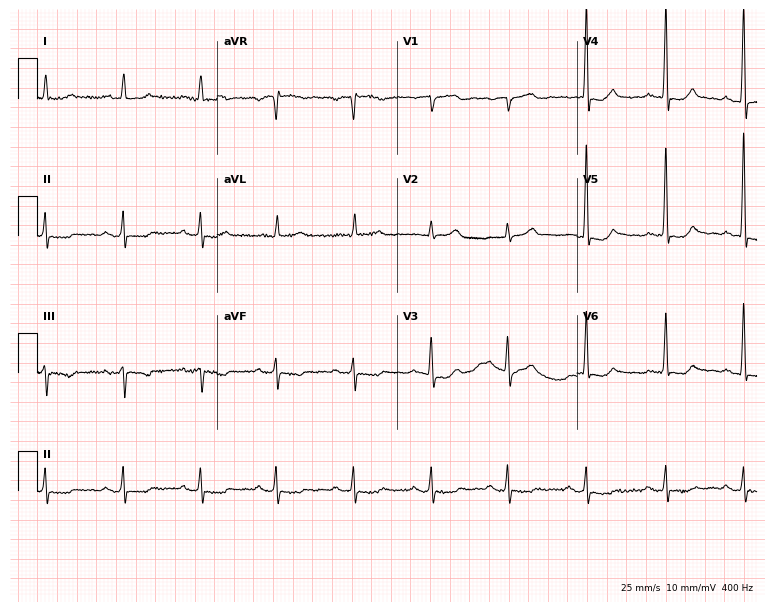
12-lead ECG from a 72-year-old male (7.3-second recording at 400 Hz). No first-degree AV block, right bundle branch block, left bundle branch block, sinus bradycardia, atrial fibrillation or sinus tachycardia recorded for this tracing.